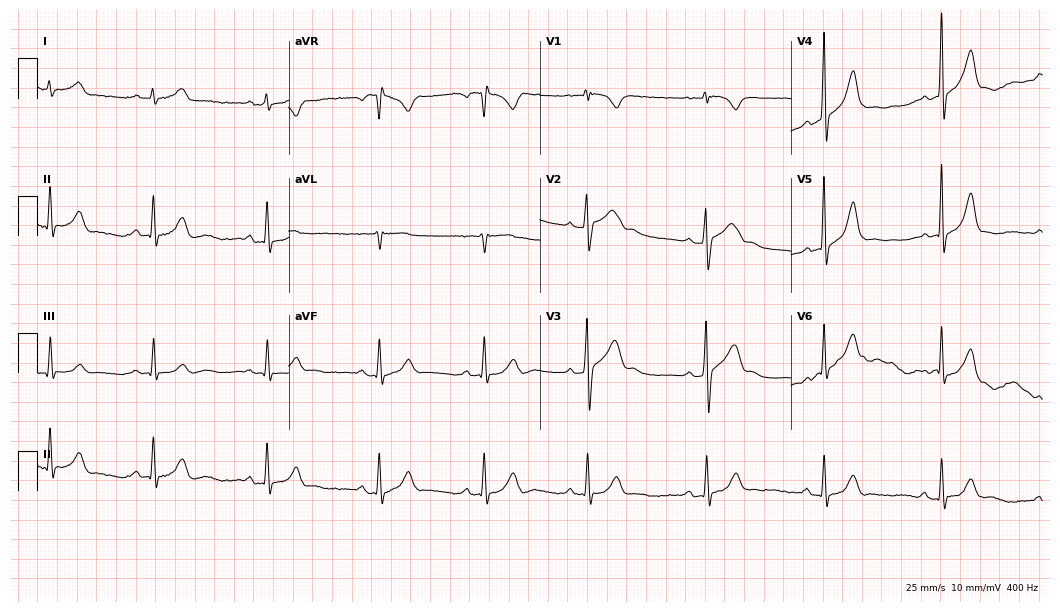
Resting 12-lead electrocardiogram. Patient: a 34-year-old male. Read as a normal ECG.